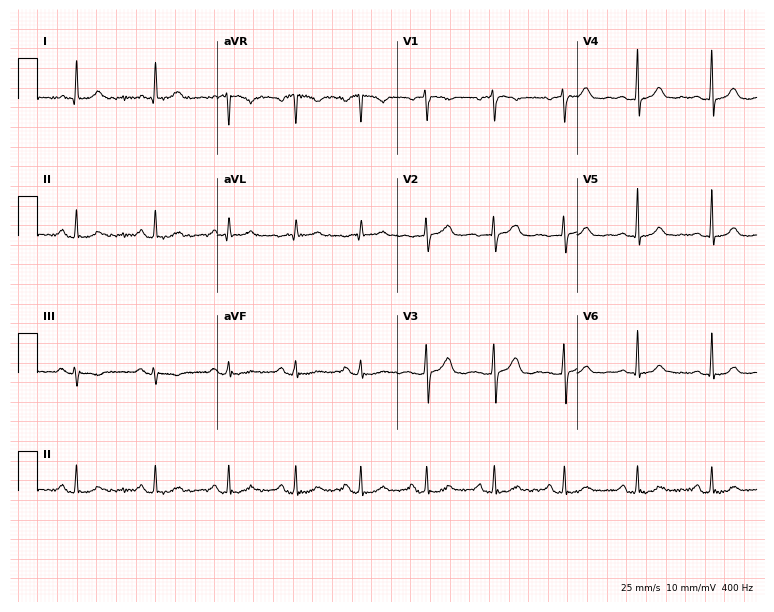
12-lead ECG from a 44-year-old woman (7.3-second recording at 400 Hz). Recorded interpretation: within normal limits.